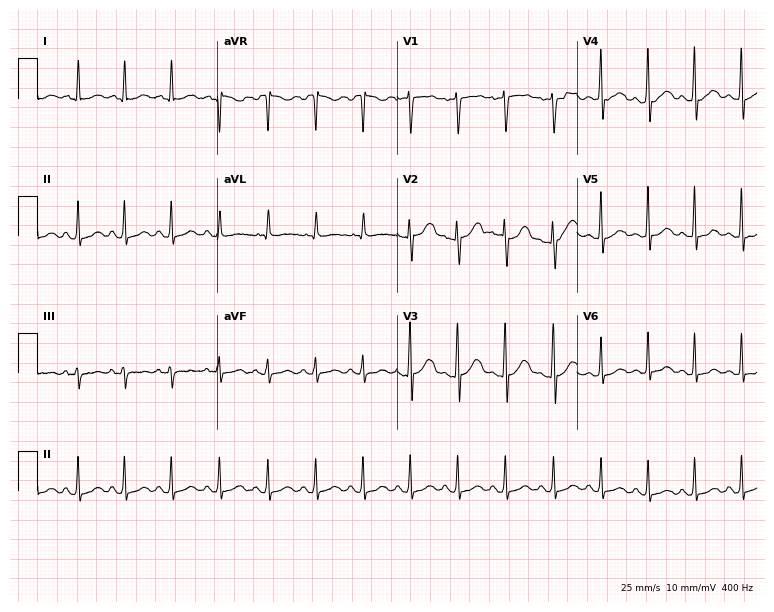
Standard 12-lead ECG recorded from a 28-year-old female. The tracing shows sinus tachycardia (a sinus rate of 100 beats per minute or more).